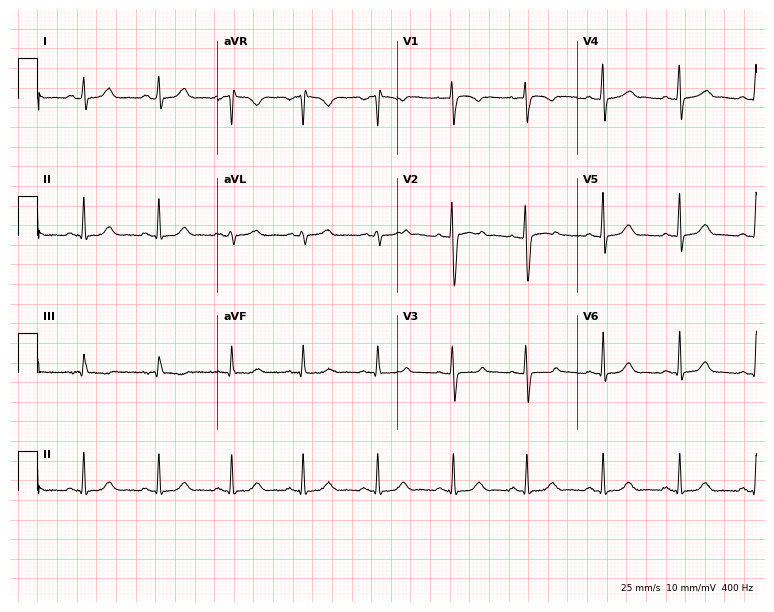
12-lead ECG from a 30-year-old female patient (7.3-second recording at 400 Hz). Recorded interpretation: within normal limits.